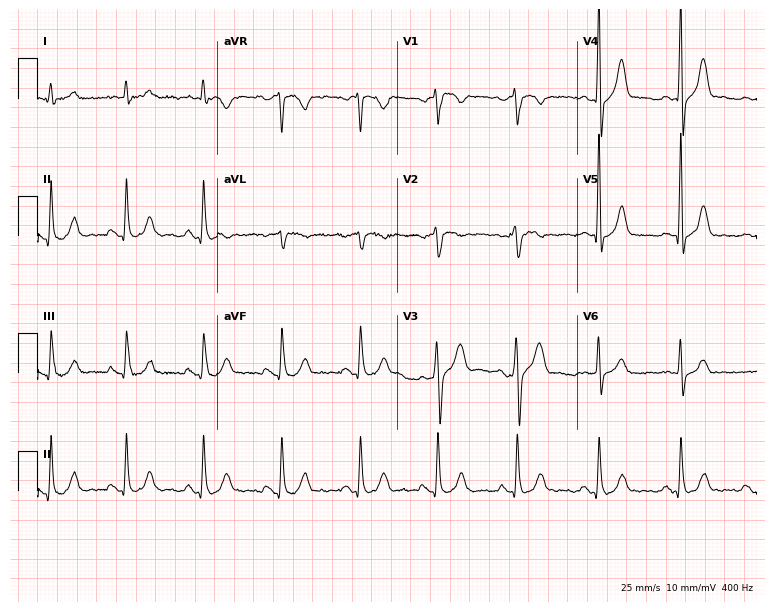
Standard 12-lead ECG recorded from a man, 71 years old (7.3-second recording at 400 Hz). Read as a normal ECG.